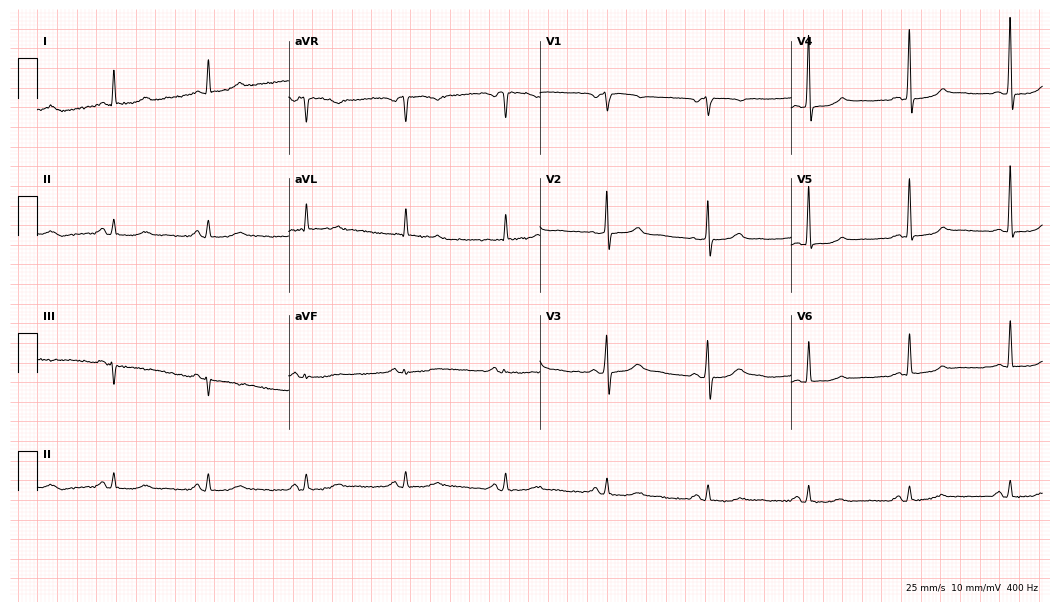
Standard 12-lead ECG recorded from a man, 67 years old (10.2-second recording at 400 Hz). Read as a normal ECG.